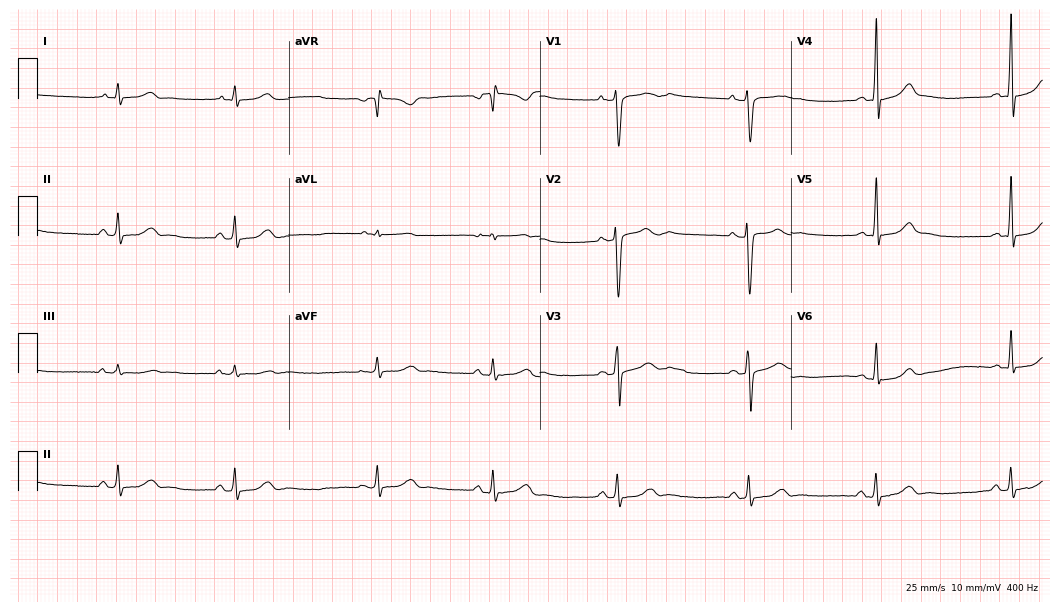
ECG (10.2-second recording at 400 Hz) — a female, 27 years old. Screened for six findings — first-degree AV block, right bundle branch block, left bundle branch block, sinus bradycardia, atrial fibrillation, sinus tachycardia — none is recorded. Findings outside these six are not listed.